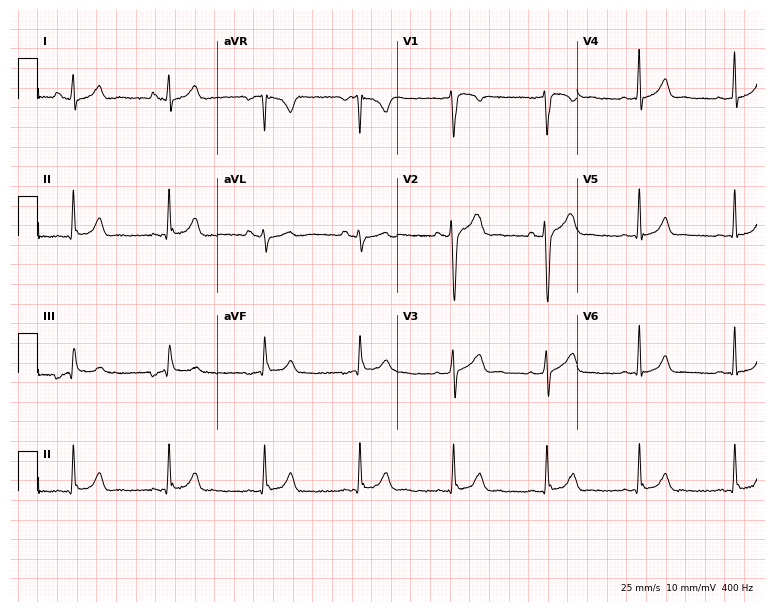
Resting 12-lead electrocardiogram (7.3-second recording at 400 Hz). Patient: a 27-year-old man. Read as a normal ECG.